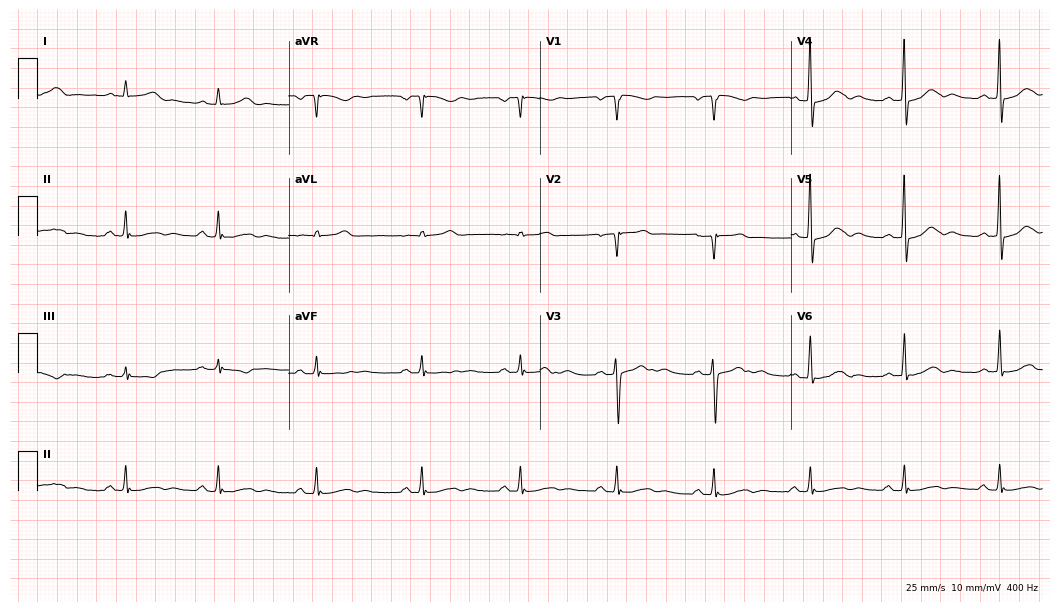
12-lead ECG from a male patient, 47 years old (10.2-second recording at 400 Hz). No first-degree AV block, right bundle branch block, left bundle branch block, sinus bradycardia, atrial fibrillation or sinus tachycardia recorded for this tracing.